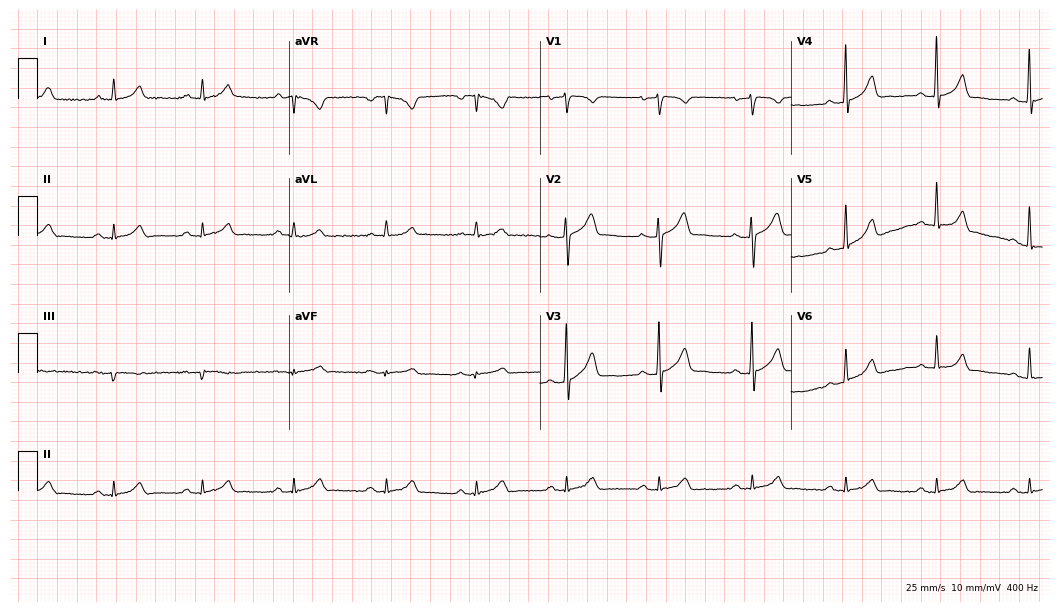
12-lead ECG from a male patient, 39 years old. Labelled as a normal ECG.